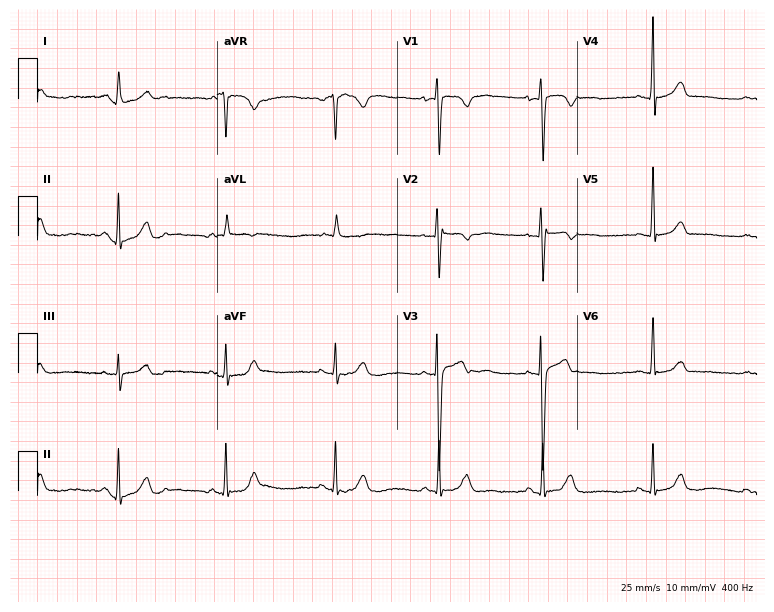
12-lead ECG from a woman, 21 years old. Recorded interpretation: within normal limits.